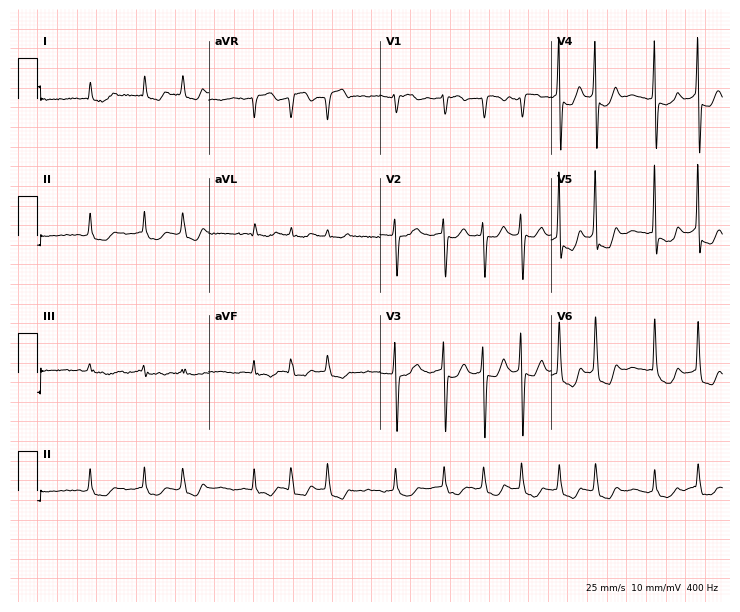
Standard 12-lead ECG recorded from a female patient, 81 years old (7-second recording at 400 Hz). None of these six findings is recorded: first-degree AV block, right bundle branch block (RBBB), left bundle branch block (LBBB), sinus bradycardia, atrial fibrillation (AF), sinus tachycardia. Findings outside these six are not listed.